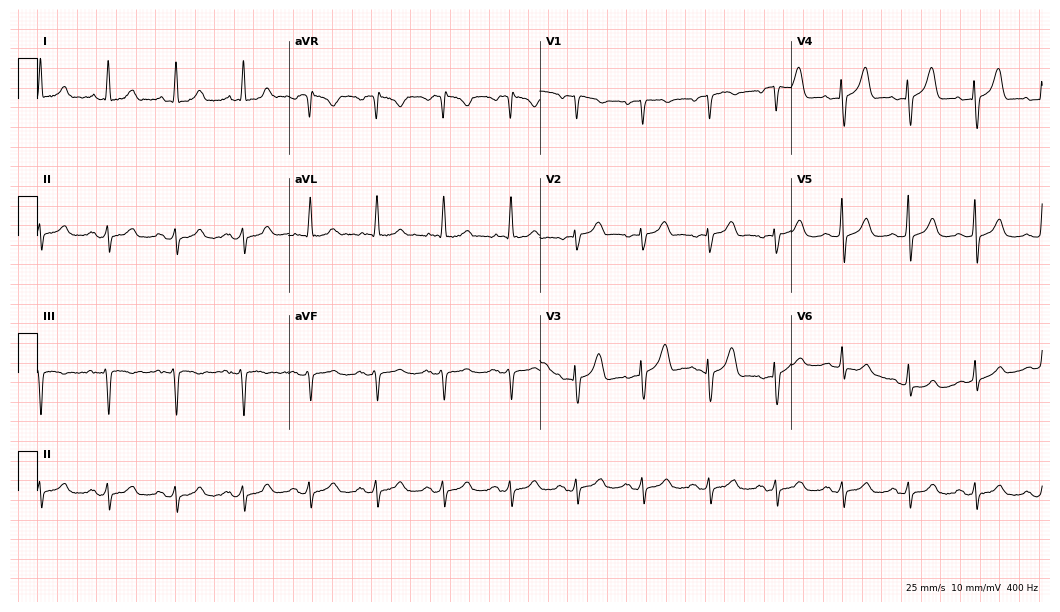
12-lead ECG (10.2-second recording at 400 Hz) from a 76-year-old female. Screened for six findings — first-degree AV block, right bundle branch block, left bundle branch block, sinus bradycardia, atrial fibrillation, sinus tachycardia — none is recorded.